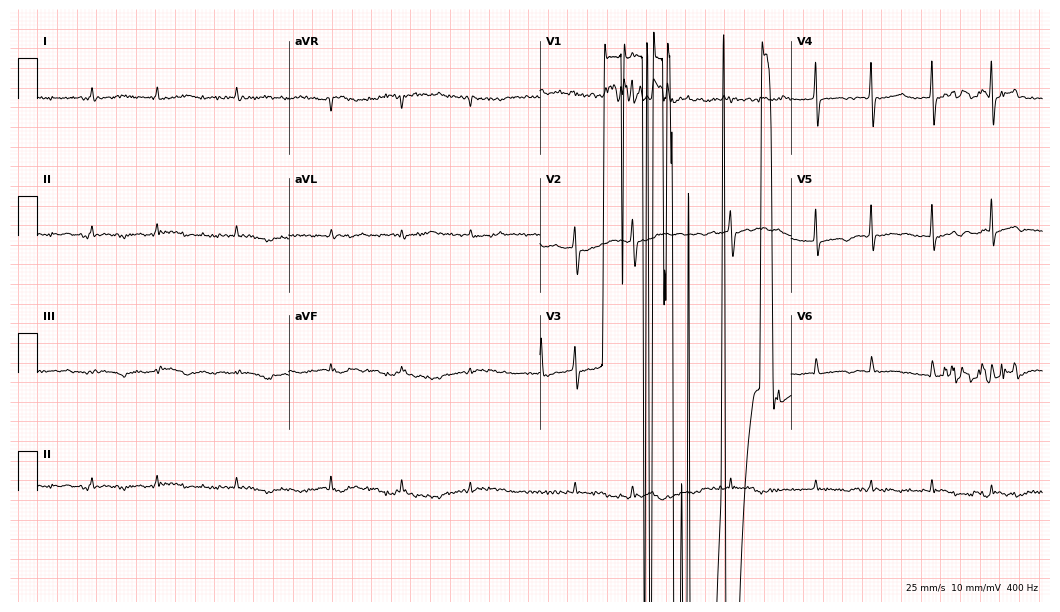
ECG (10.2-second recording at 400 Hz) — an 82-year-old woman. Findings include atrial fibrillation.